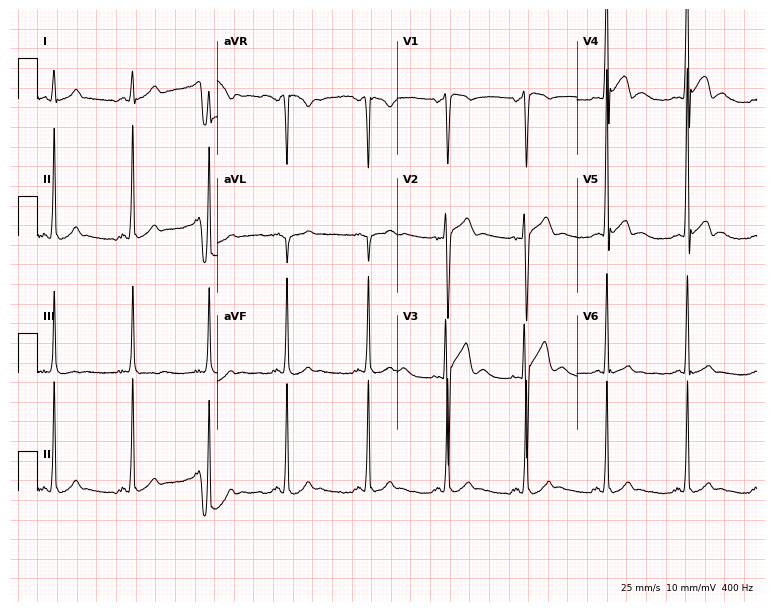
Resting 12-lead electrocardiogram (7.3-second recording at 400 Hz). Patient: a male, 28 years old. Read as a normal ECG.